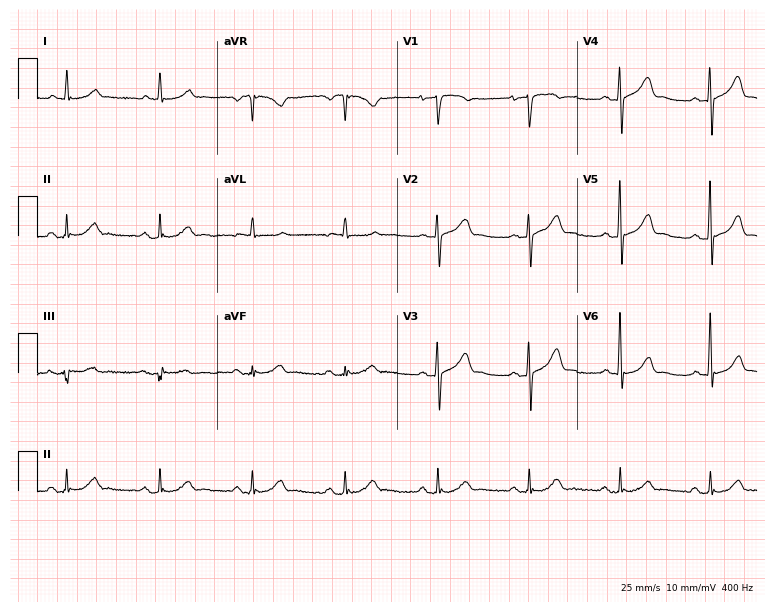
Electrocardiogram, a man, 84 years old. Of the six screened findings (first-degree AV block, right bundle branch block, left bundle branch block, sinus bradycardia, atrial fibrillation, sinus tachycardia), none is recorded. Only these six findings were labelled.